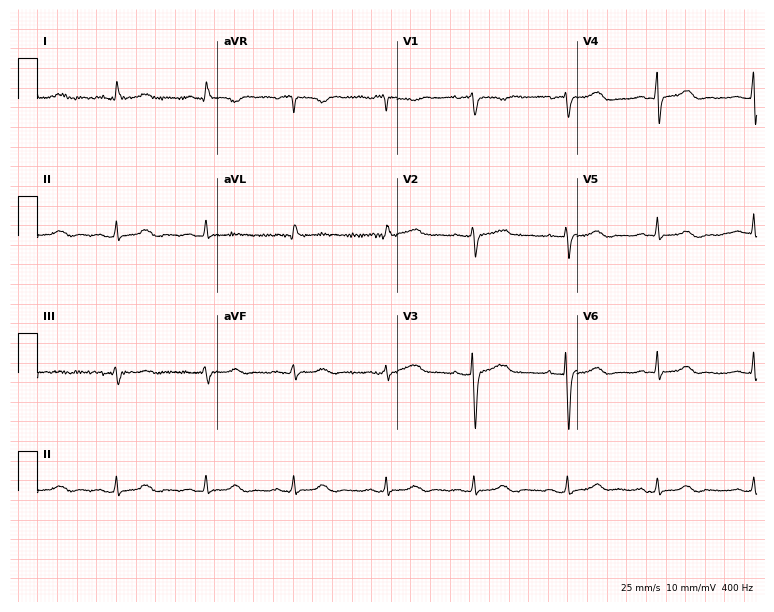
12-lead ECG from a 53-year-old female. Labelled as a normal ECG.